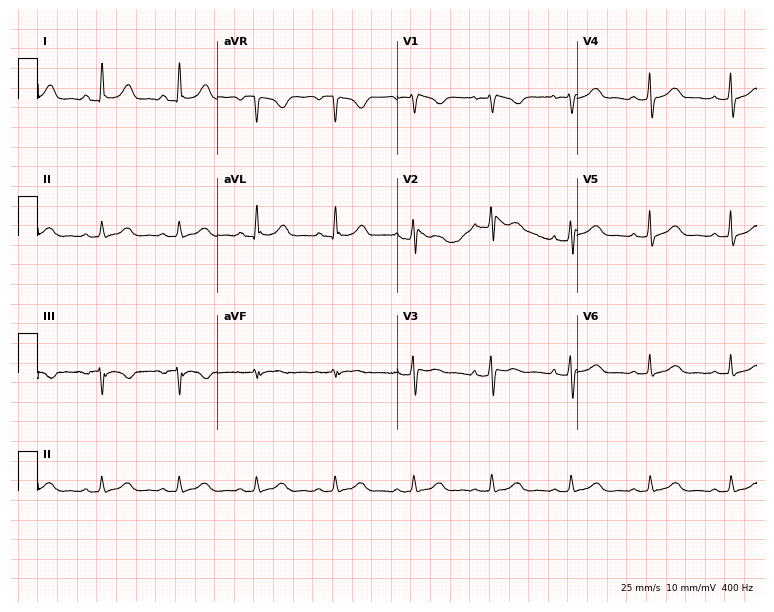
12-lead ECG (7.3-second recording at 400 Hz) from a 69-year-old female patient. Screened for six findings — first-degree AV block, right bundle branch block, left bundle branch block, sinus bradycardia, atrial fibrillation, sinus tachycardia — none is recorded.